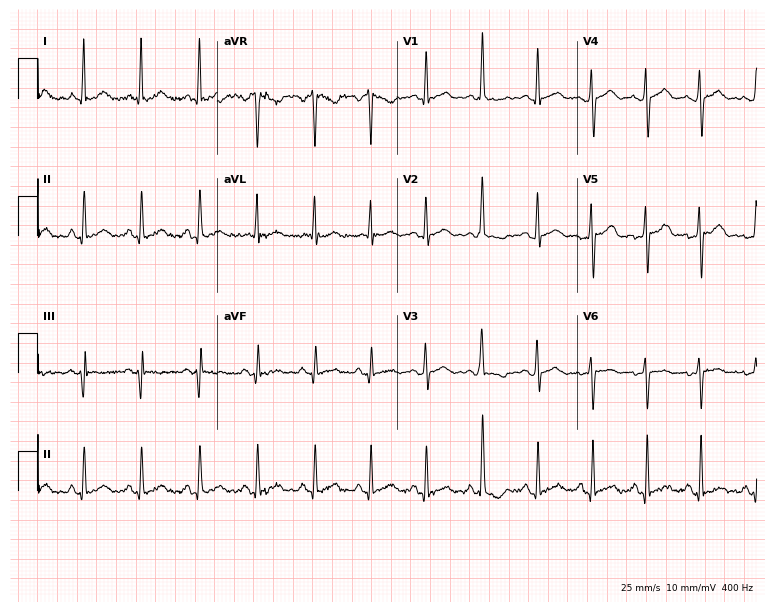
Resting 12-lead electrocardiogram (7.3-second recording at 400 Hz). Patient: a male, 22 years old. None of these six findings is recorded: first-degree AV block, right bundle branch block (RBBB), left bundle branch block (LBBB), sinus bradycardia, atrial fibrillation (AF), sinus tachycardia.